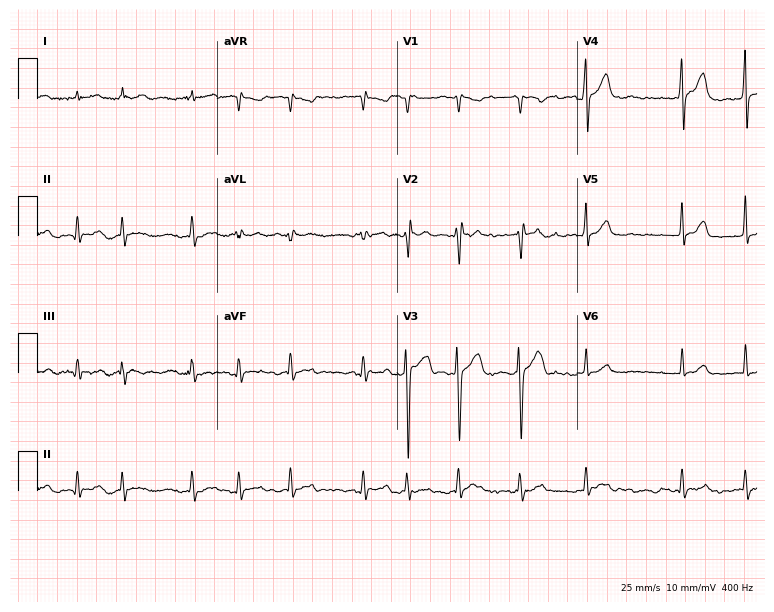
ECG — a male patient, 61 years old. Findings include atrial fibrillation.